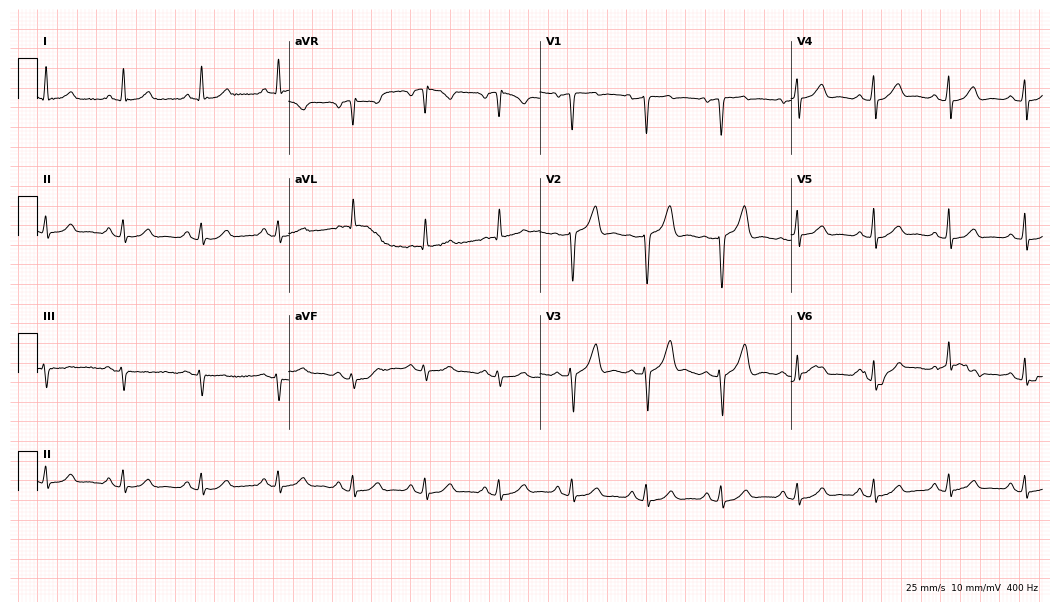
Electrocardiogram (10.2-second recording at 400 Hz), a 60-year-old man. Overall reading on record: normal ECG.